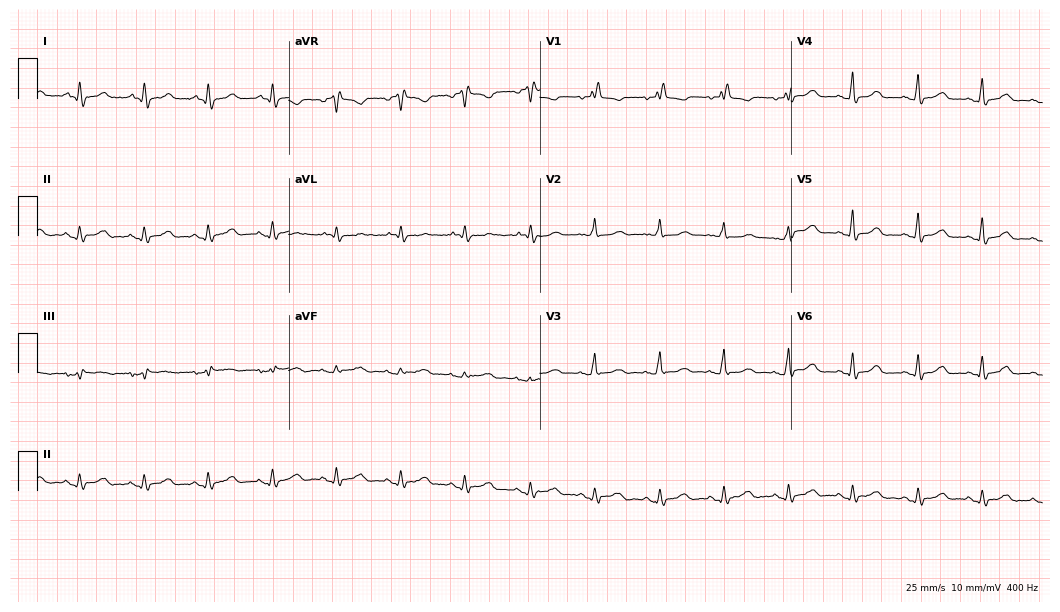
12-lead ECG from a female patient, 77 years old. Shows right bundle branch block.